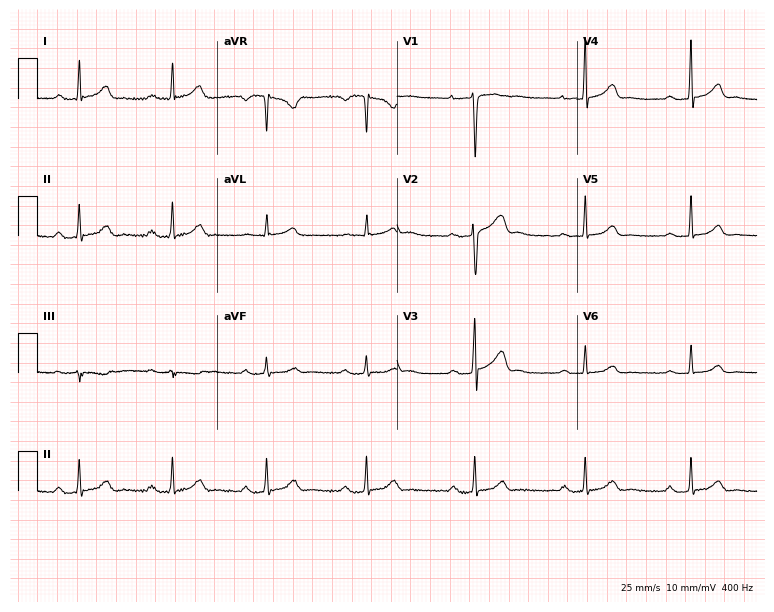
12-lead ECG (7.3-second recording at 400 Hz) from a woman, 32 years old. Findings include first-degree AV block.